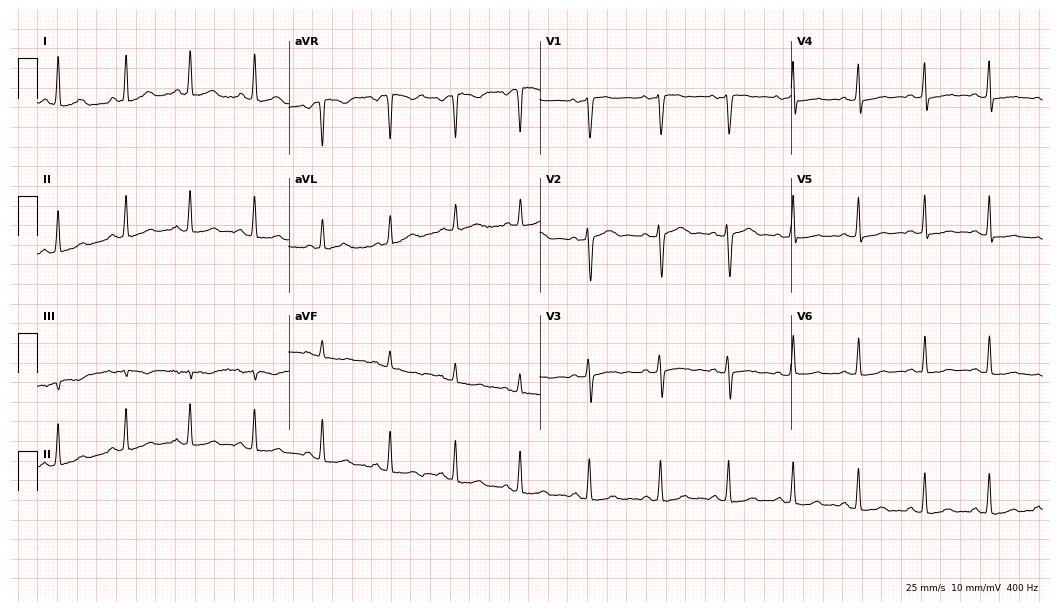
Resting 12-lead electrocardiogram. Patient: a woman, 31 years old. Read as a normal ECG.